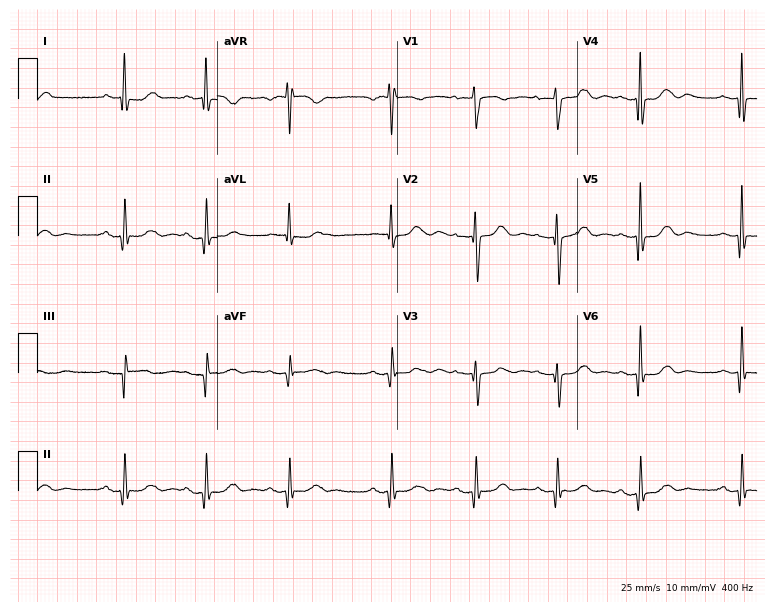
12-lead ECG from an 85-year-old woman. Screened for six findings — first-degree AV block, right bundle branch block (RBBB), left bundle branch block (LBBB), sinus bradycardia, atrial fibrillation (AF), sinus tachycardia — none is recorded. Findings outside these six are not listed.